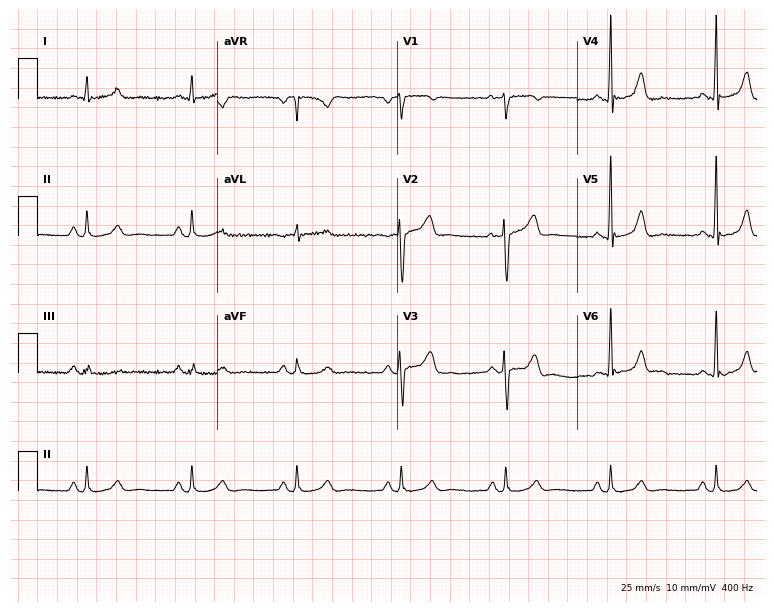
Electrocardiogram (7.3-second recording at 400 Hz), a male patient, 54 years old. Overall reading on record: normal ECG.